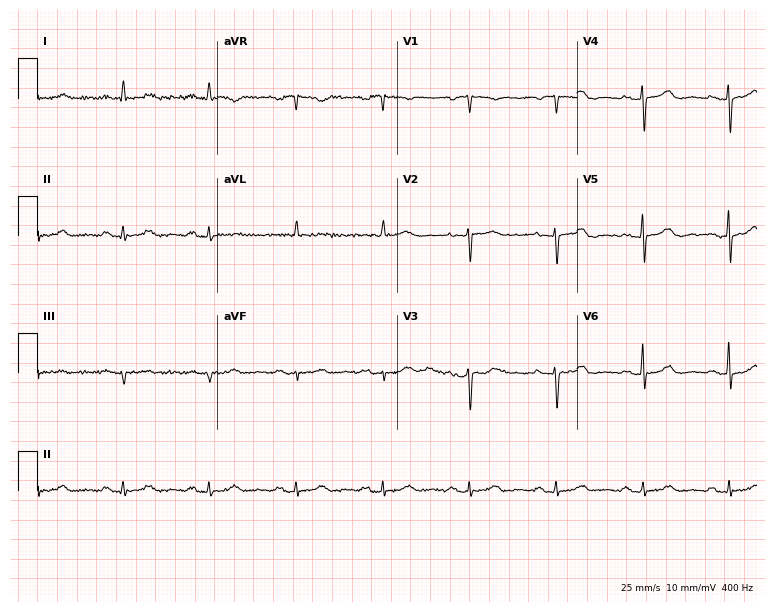
Standard 12-lead ECG recorded from a female patient, 49 years old (7.3-second recording at 400 Hz). Read as a normal ECG.